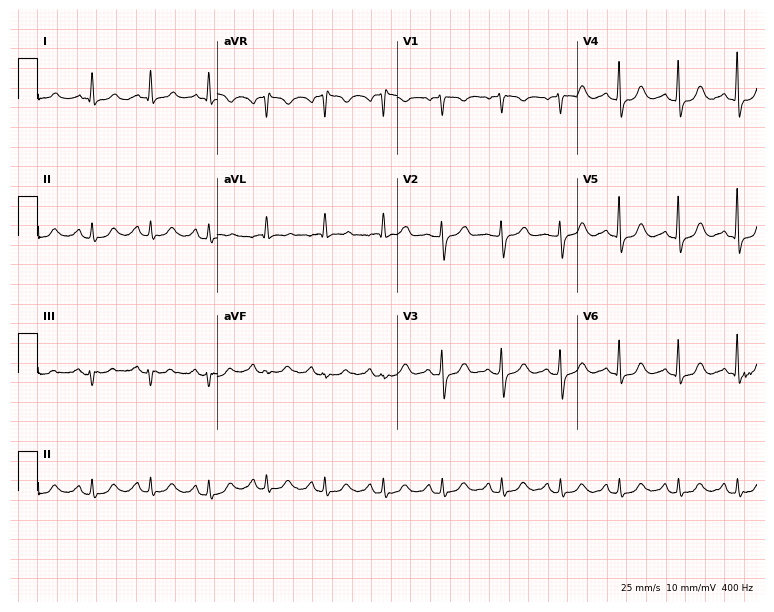
12-lead ECG from a 61-year-old female. Shows sinus tachycardia (a sinus rate of 100 beats per minute or more).